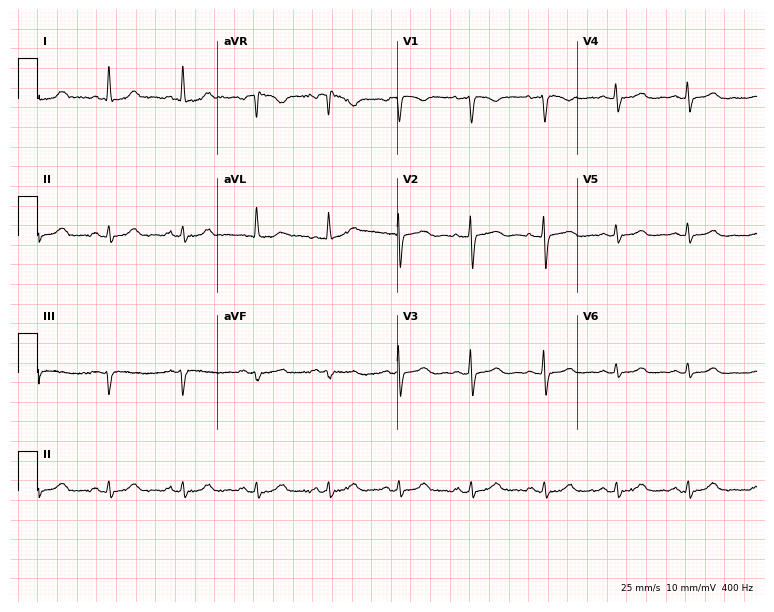
12-lead ECG (7.3-second recording at 400 Hz) from a 50-year-old female patient. Labelled as a normal ECG.